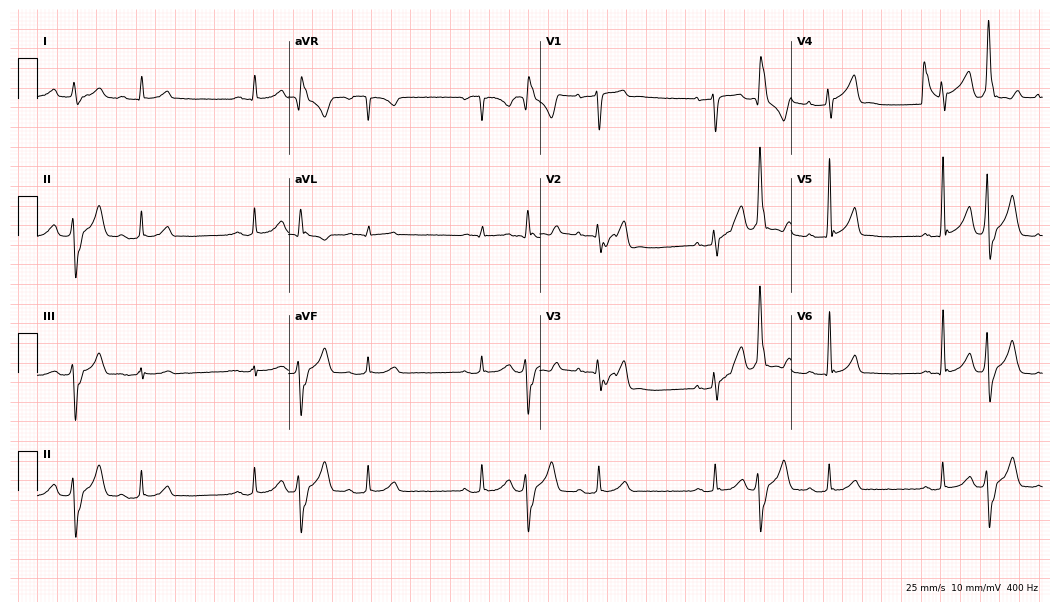
Resting 12-lead electrocardiogram. Patient: a male, 46 years old. None of these six findings is recorded: first-degree AV block, right bundle branch block, left bundle branch block, sinus bradycardia, atrial fibrillation, sinus tachycardia.